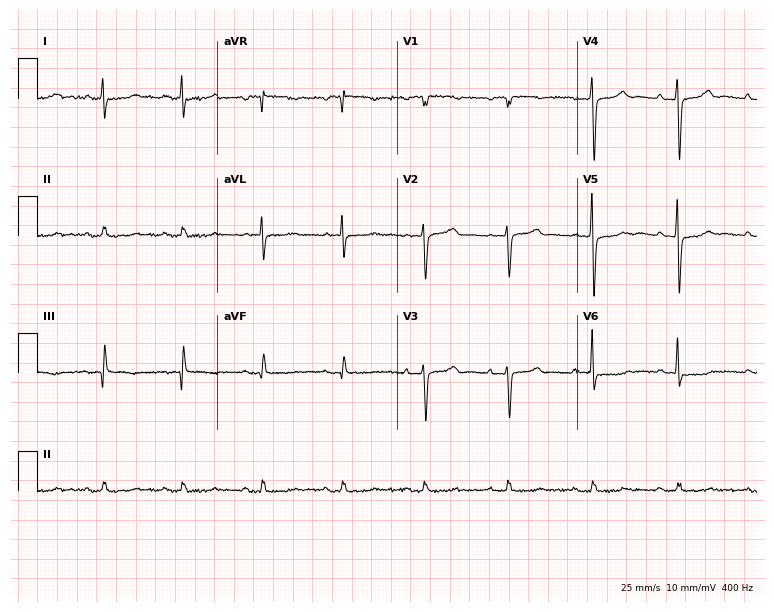
Resting 12-lead electrocardiogram. Patient: an 85-year-old man. None of these six findings is recorded: first-degree AV block, right bundle branch block, left bundle branch block, sinus bradycardia, atrial fibrillation, sinus tachycardia.